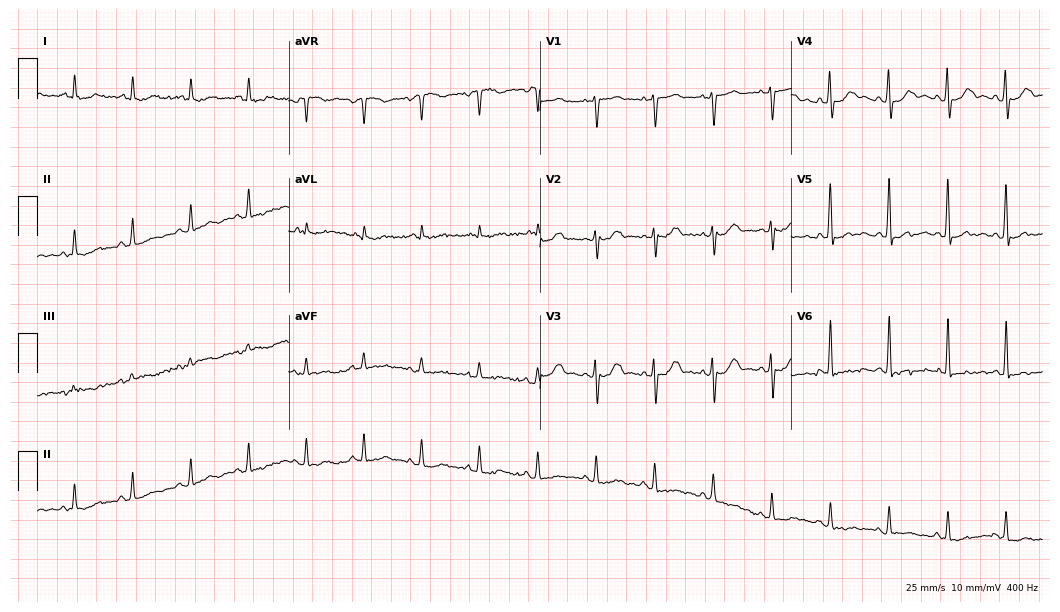
12-lead ECG from a female, 56 years old (10.2-second recording at 400 Hz). Shows sinus tachycardia (a sinus rate of 100 beats per minute or more).